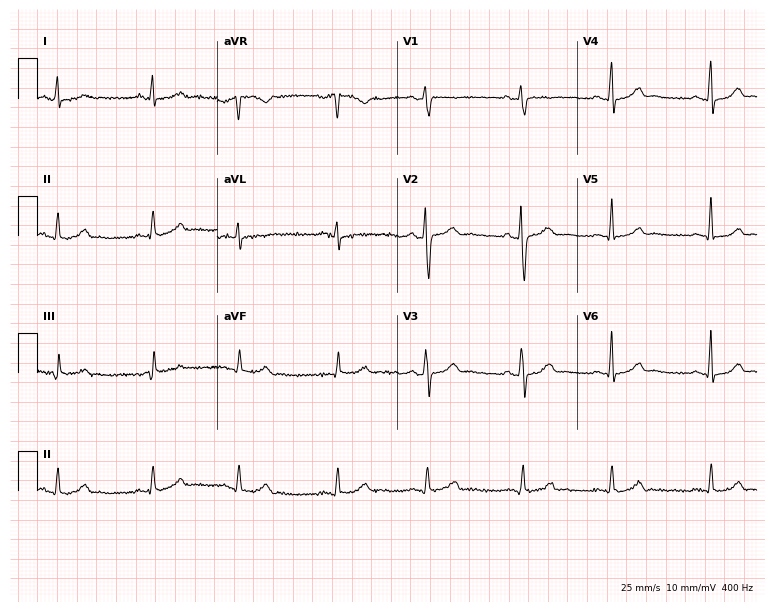
Standard 12-lead ECG recorded from a 24-year-old woman. Read as a normal ECG.